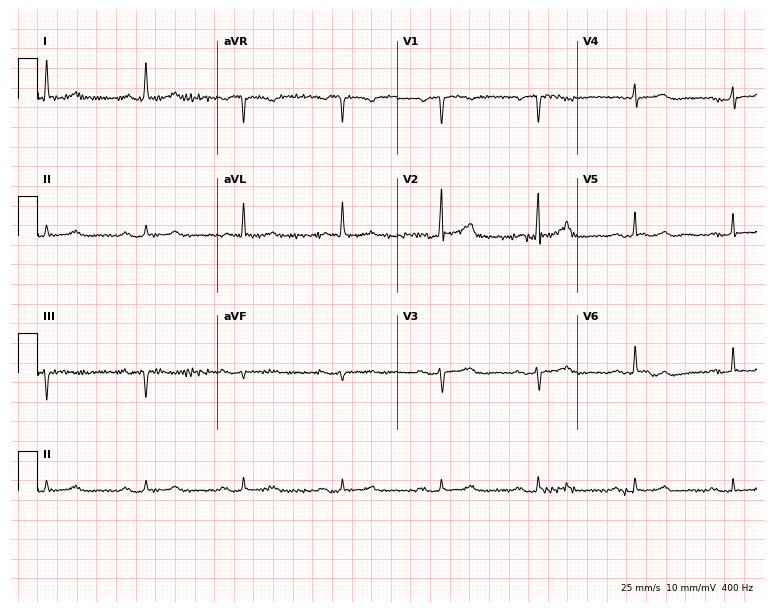
Standard 12-lead ECG recorded from a female, 76 years old (7.3-second recording at 400 Hz). None of these six findings is recorded: first-degree AV block, right bundle branch block (RBBB), left bundle branch block (LBBB), sinus bradycardia, atrial fibrillation (AF), sinus tachycardia.